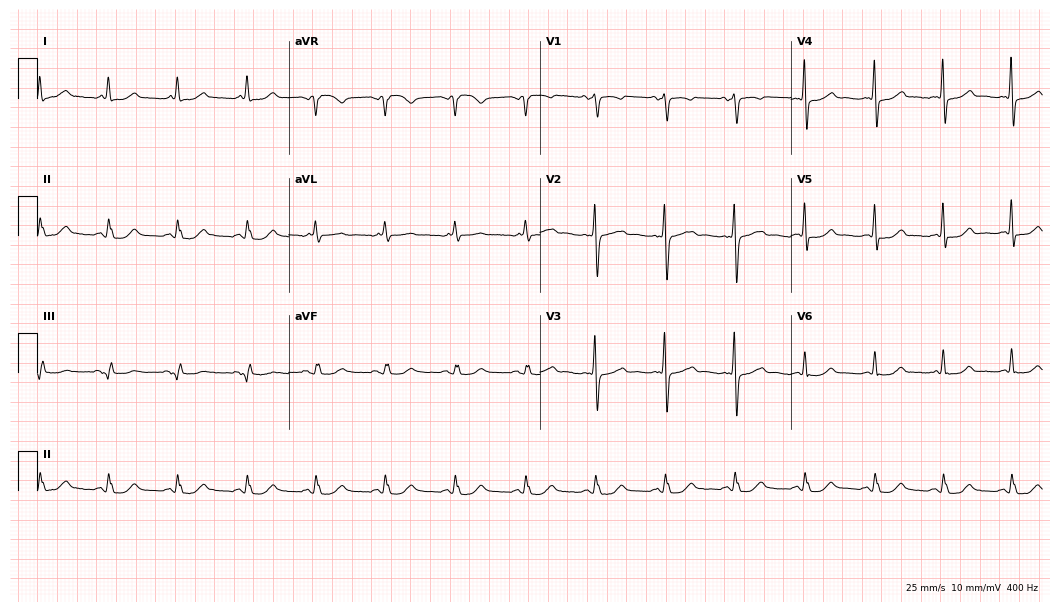
Resting 12-lead electrocardiogram. Patient: a 58-year-old male. None of these six findings is recorded: first-degree AV block, right bundle branch block, left bundle branch block, sinus bradycardia, atrial fibrillation, sinus tachycardia. Only these six findings were labelled.